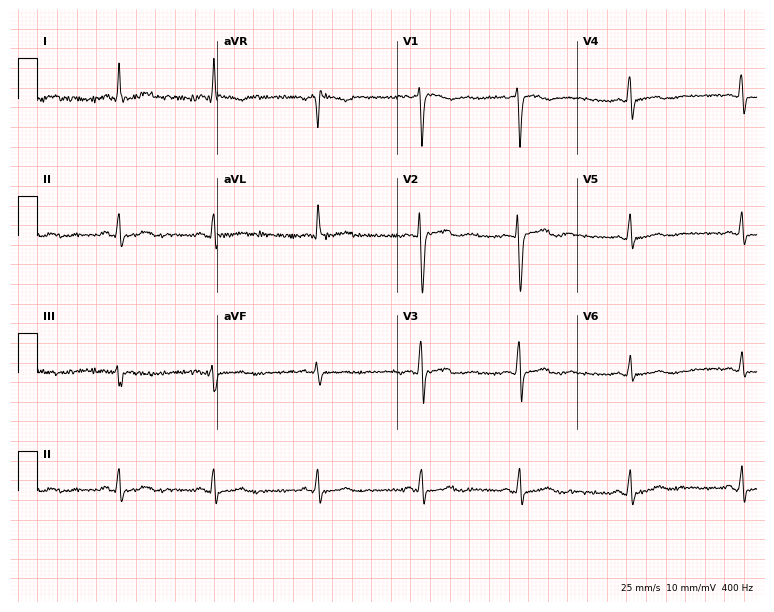
12-lead ECG from a woman, 45 years old. Screened for six findings — first-degree AV block, right bundle branch block, left bundle branch block, sinus bradycardia, atrial fibrillation, sinus tachycardia — none is recorded.